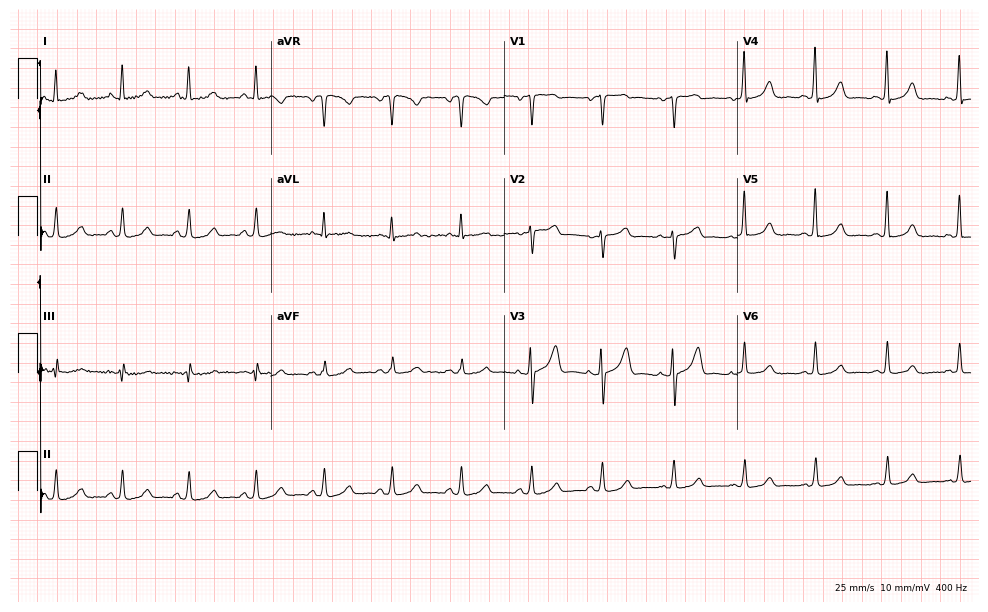
Electrocardiogram (9.5-second recording at 400 Hz), a 50-year-old female. Overall reading on record: normal ECG.